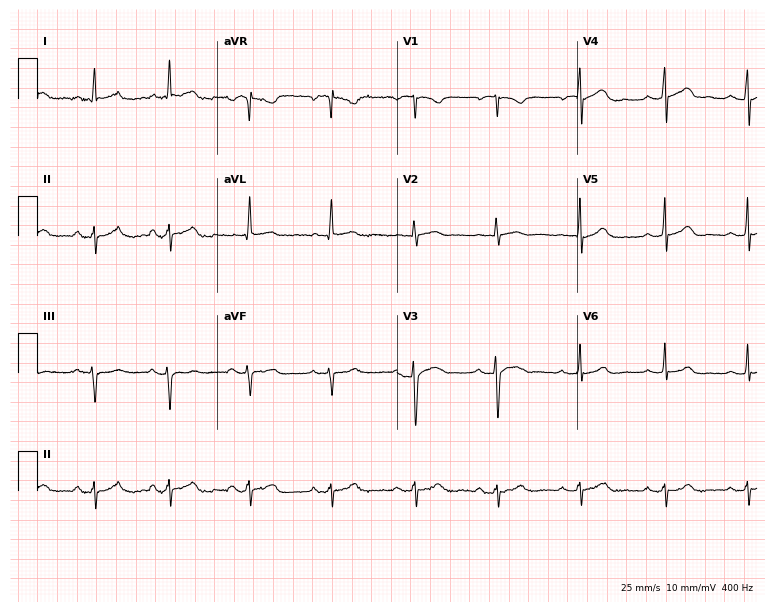
ECG — a female, 35 years old. Screened for six findings — first-degree AV block, right bundle branch block, left bundle branch block, sinus bradycardia, atrial fibrillation, sinus tachycardia — none is recorded. Findings outside these six are not listed.